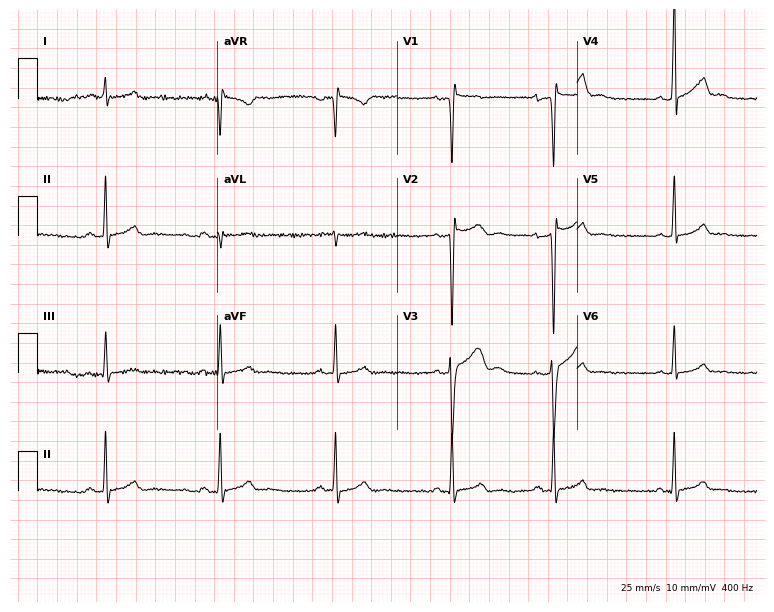
Standard 12-lead ECG recorded from a man, 21 years old (7.3-second recording at 400 Hz). None of these six findings is recorded: first-degree AV block, right bundle branch block, left bundle branch block, sinus bradycardia, atrial fibrillation, sinus tachycardia.